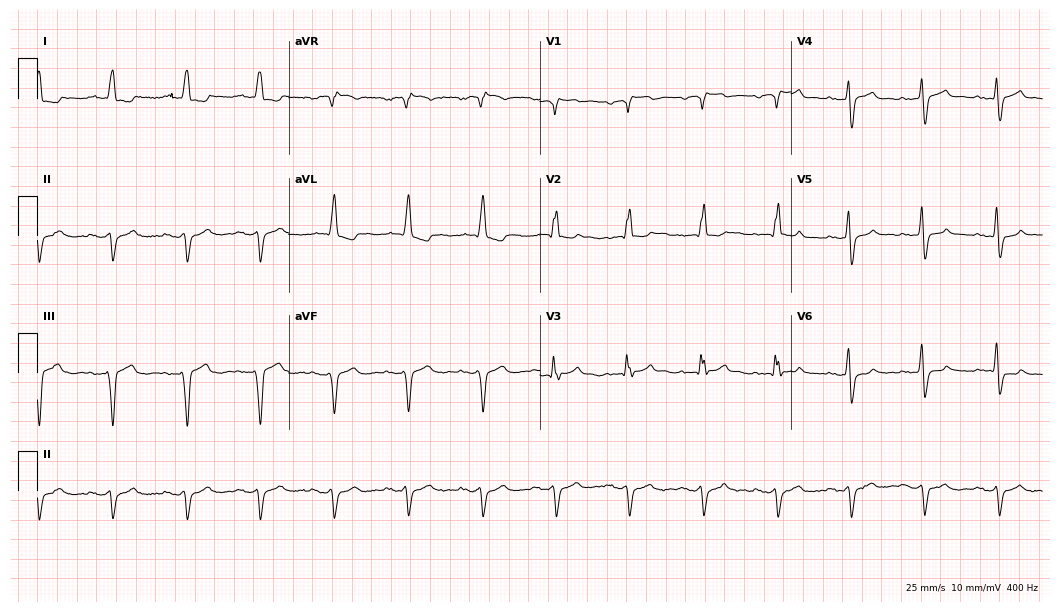
Electrocardiogram (10.2-second recording at 400 Hz), a male patient, 65 years old. Of the six screened findings (first-degree AV block, right bundle branch block, left bundle branch block, sinus bradycardia, atrial fibrillation, sinus tachycardia), none is recorded. Only these six findings were labelled.